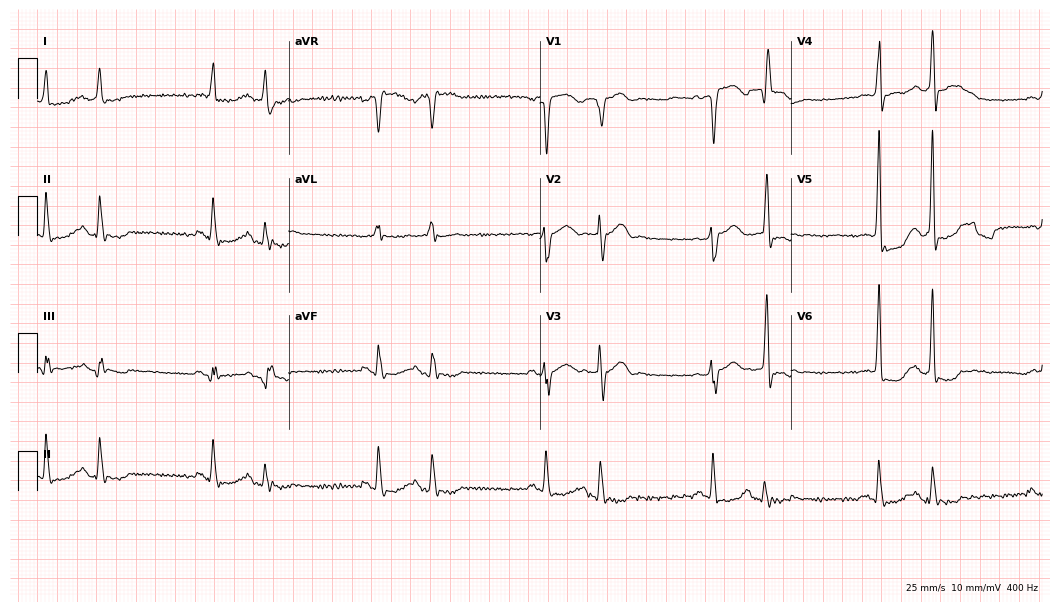
12-lead ECG from a male patient, 78 years old. No first-degree AV block, right bundle branch block, left bundle branch block, sinus bradycardia, atrial fibrillation or sinus tachycardia recorded for this tracing. Other findings, if any, are not listed.